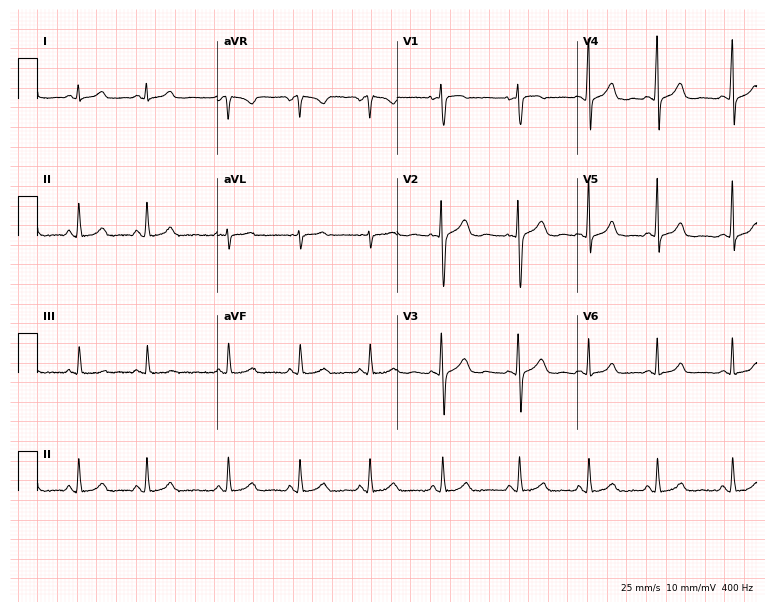
Standard 12-lead ECG recorded from a female, 19 years old (7.3-second recording at 400 Hz). Read as a normal ECG.